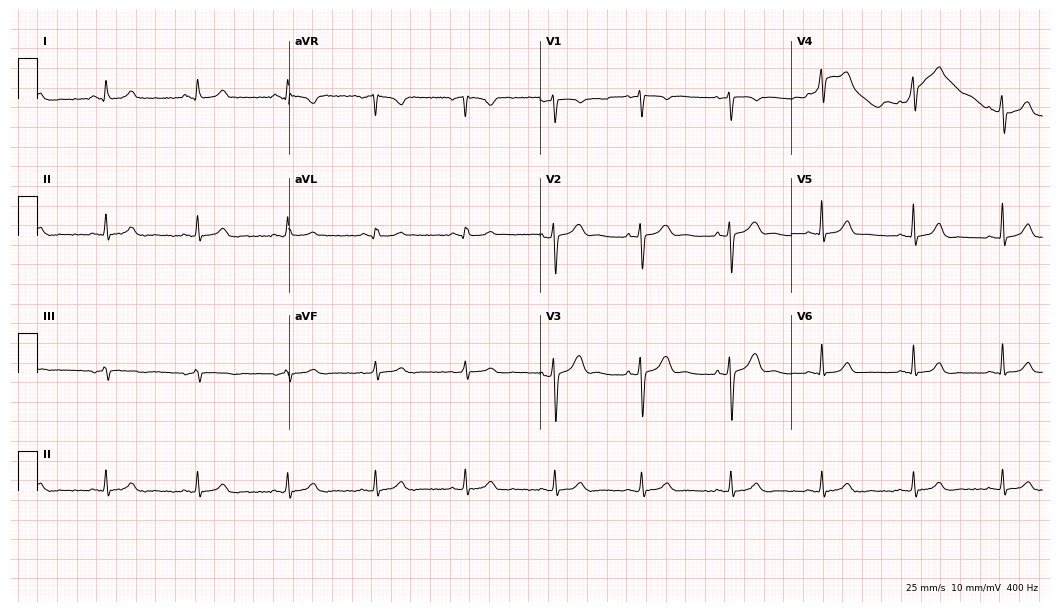
Resting 12-lead electrocardiogram (10.2-second recording at 400 Hz). Patient: a female, 41 years old. Read as a normal ECG.